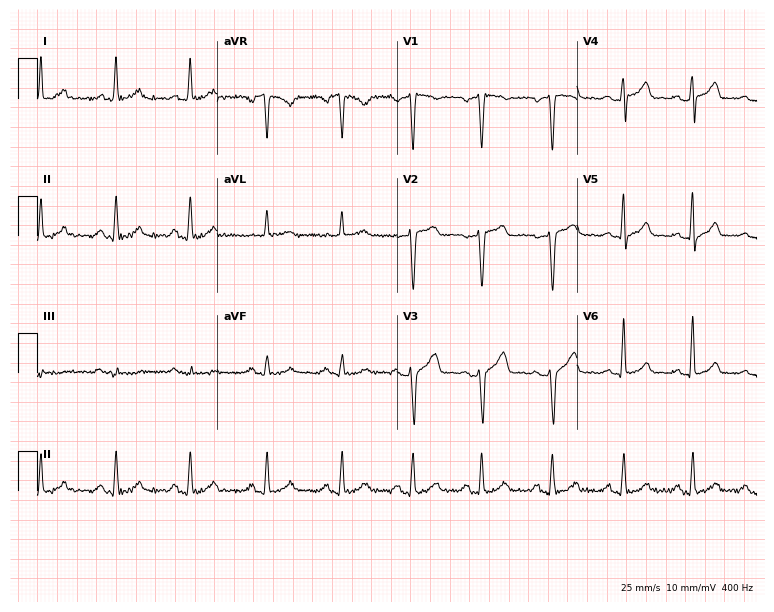
Electrocardiogram (7.3-second recording at 400 Hz), a man, 42 years old. Of the six screened findings (first-degree AV block, right bundle branch block, left bundle branch block, sinus bradycardia, atrial fibrillation, sinus tachycardia), none is recorded.